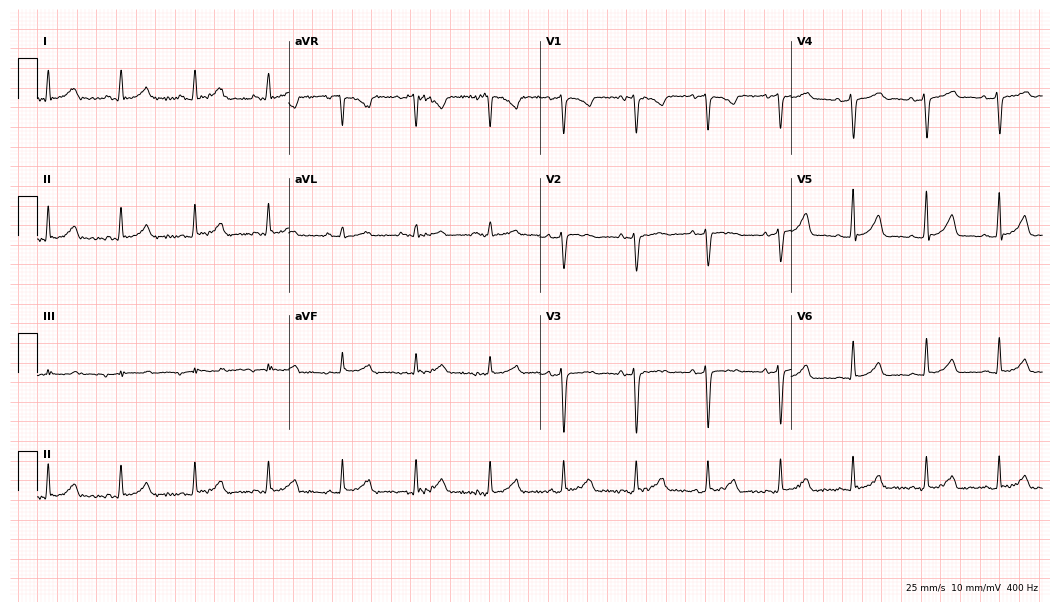
Electrocardiogram, a 45-year-old woman. Overall reading on record: normal ECG.